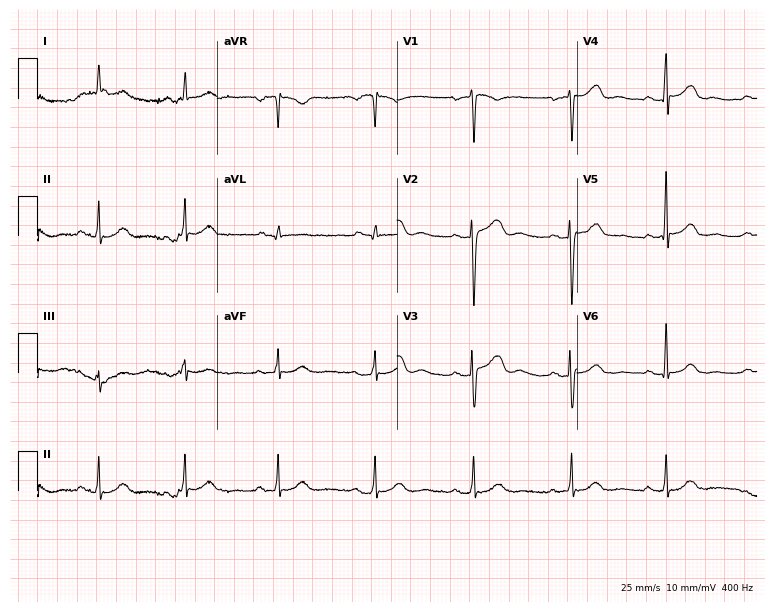
12-lead ECG from a woman, 37 years old. Screened for six findings — first-degree AV block, right bundle branch block, left bundle branch block, sinus bradycardia, atrial fibrillation, sinus tachycardia — none is recorded.